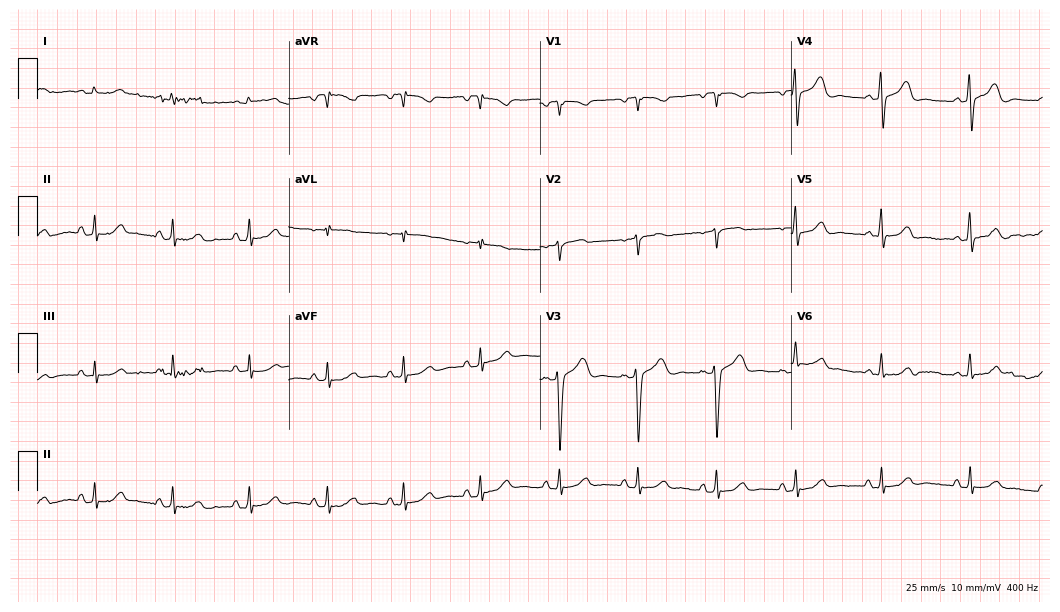
ECG — a 60-year-old female. Labelled as a normal ECG.